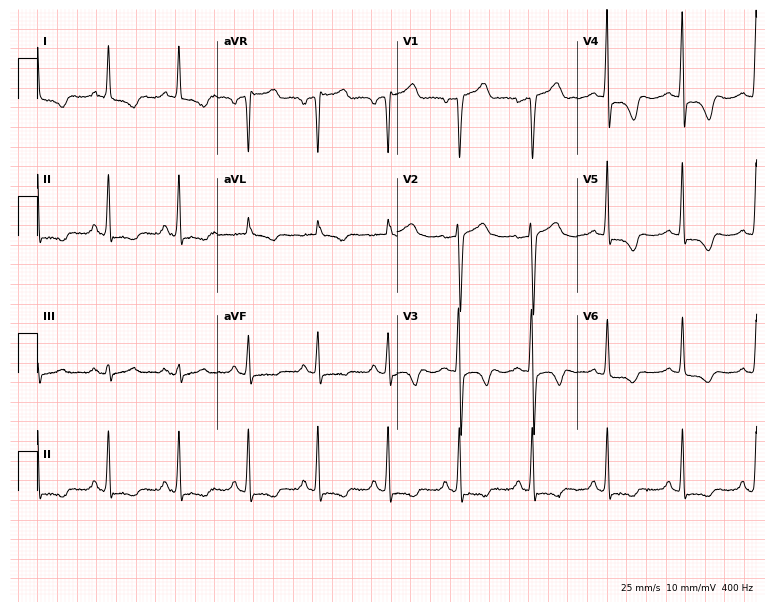
12-lead ECG from a male, 48 years old. Screened for six findings — first-degree AV block, right bundle branch block, left bundle branch block, sinus bradycardia, atrial fibrillation, sinus tachycardia — none is recorded. Findings outside these six are not listed.